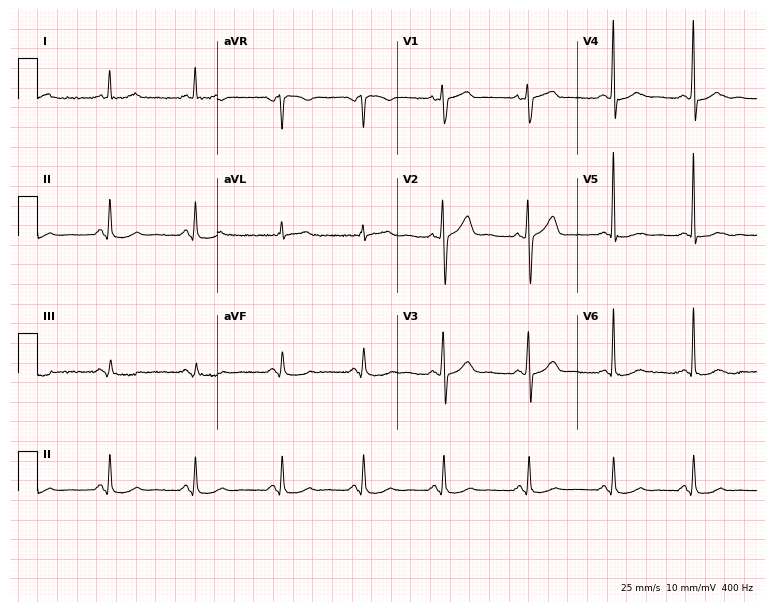
Standard 12-lead ECG recorded from a 61-year-old male (7.3-second recording at 400 Hz). None of these six findings is recorded: first-degree AV block, right bundle branch block, left bundle branch block, sinus bradycardia, atrial fibrillation, sinus tachycardia.